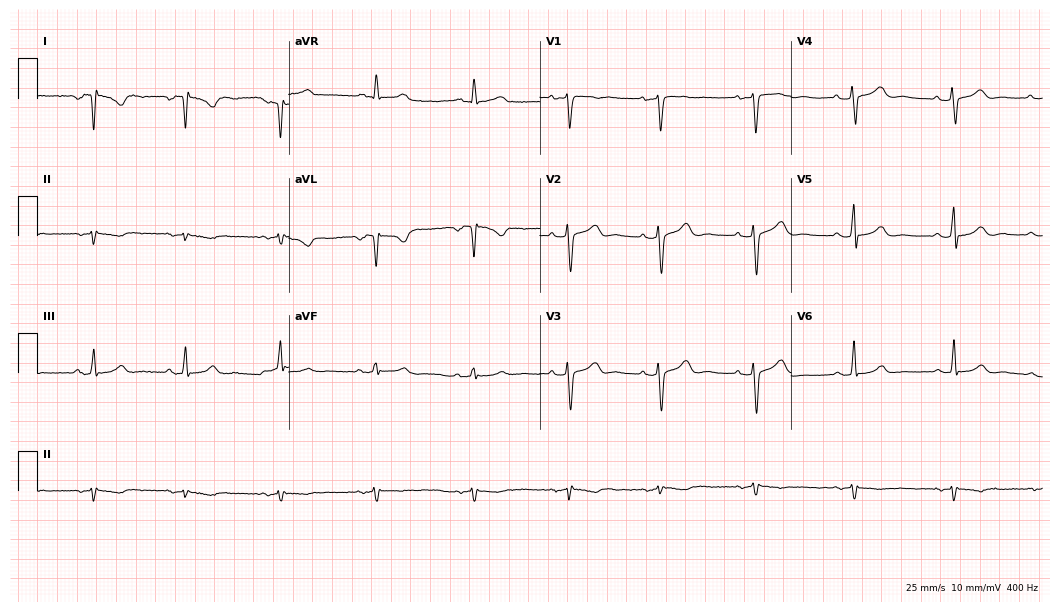
12-lead ECG (10.2-second recording at 400 Hz) from a female patient, 46 years old. Screened for six findings — first-degree AV block, right bundle branch block (RBBB), left bundle branch block (LBBB), sinus bradycardia, atrial fibrillation (AF), sinus tachycardia — none is recorded. Other findings, if any, are not listed.